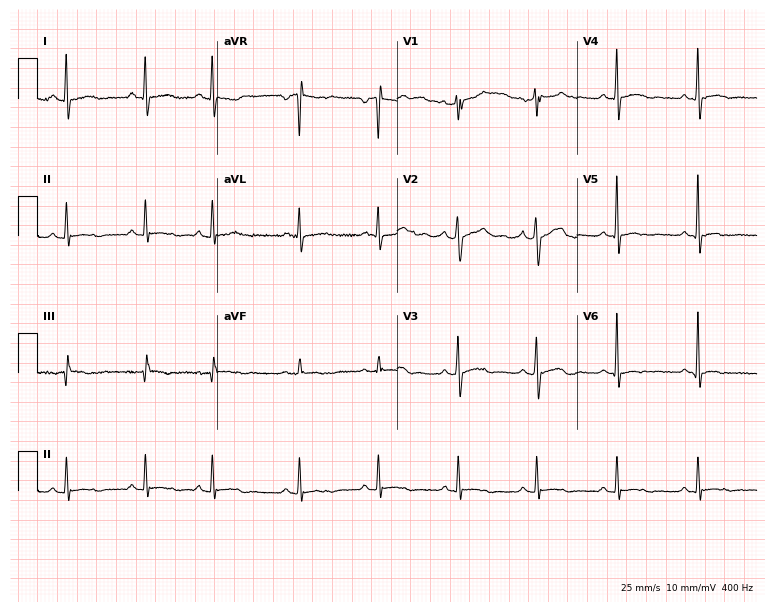
Electrocardiogram, a male patient, 27 years old. Of the six screened findings (first-degree AV block, right bundle branch block, left bundle branch block, sinus bradycardia, atrial fibrillation, sinus tachycardia), none is recorded.